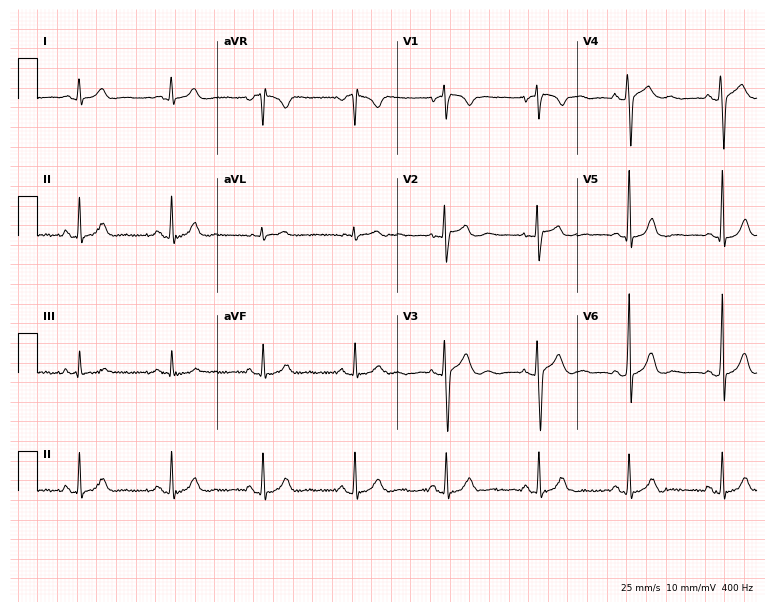
12-lead ECG from a male patient, 22 years old (7.3-second recording at 400 Hz). Recorded interpretation: within normal limits.